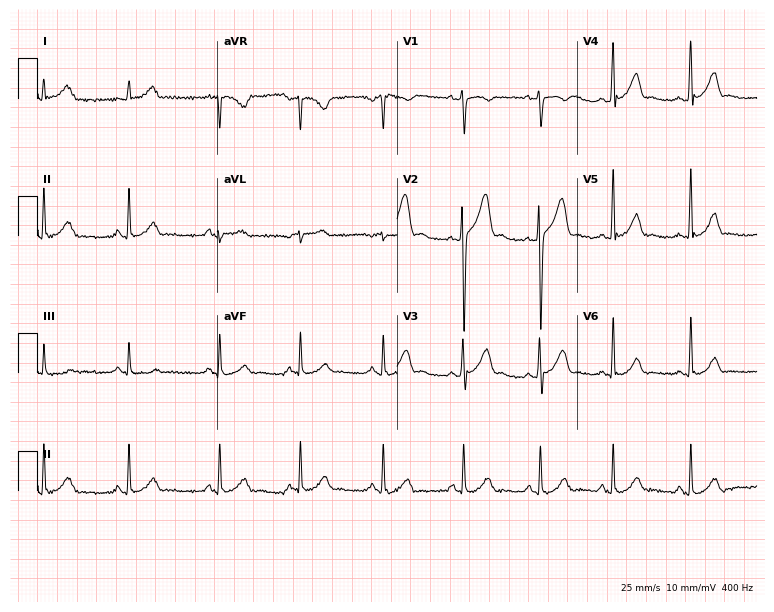
ECG (7.3-second recording at 400 Hz) — a man, 30 years old. Labelled as a normal ECG.